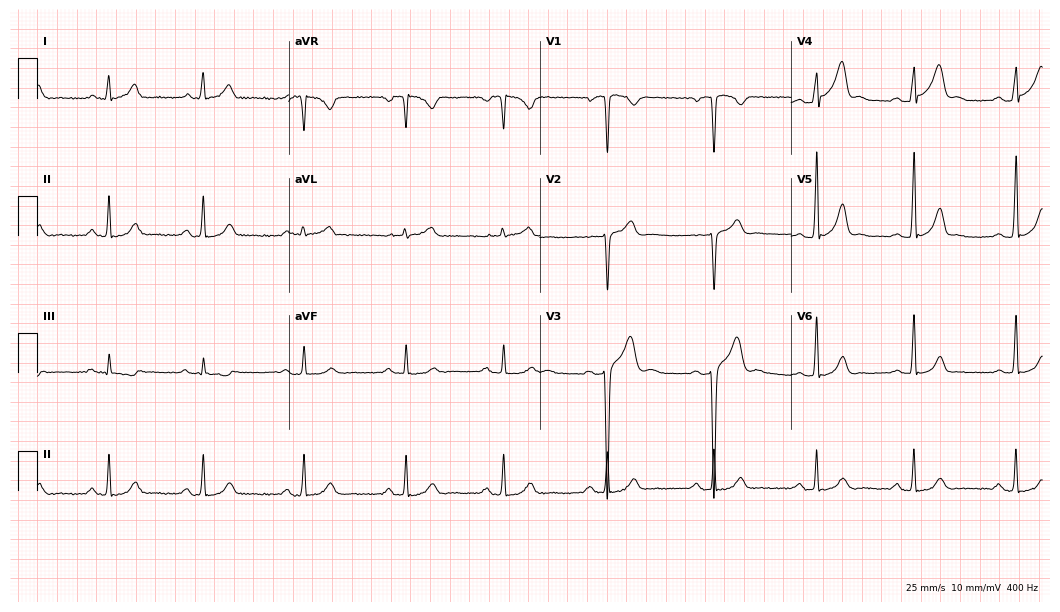
12-lead ECG from a 31-year-old man (10.2-second recording at 400 Hz). No first-degree AV block, right bundle branch block, left bundle branch block, sinus bradycardia, atrial fibrillation or sinus tachycardia recorded for this tracing.